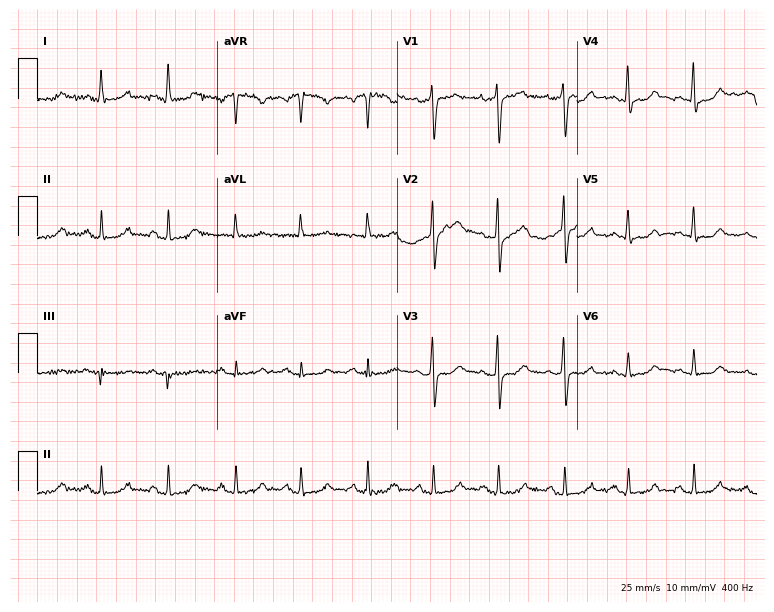
ECG (7.3-second recording at 400 Hz) — a female patient, 51 years old. Screened for six findings — first-degree AV block, right bundle branch block (RBBB), left bundle branch block (LBBB), sinus bradycardia, atrial fibrillation (AF), sinus tachycardia — none is recorded.